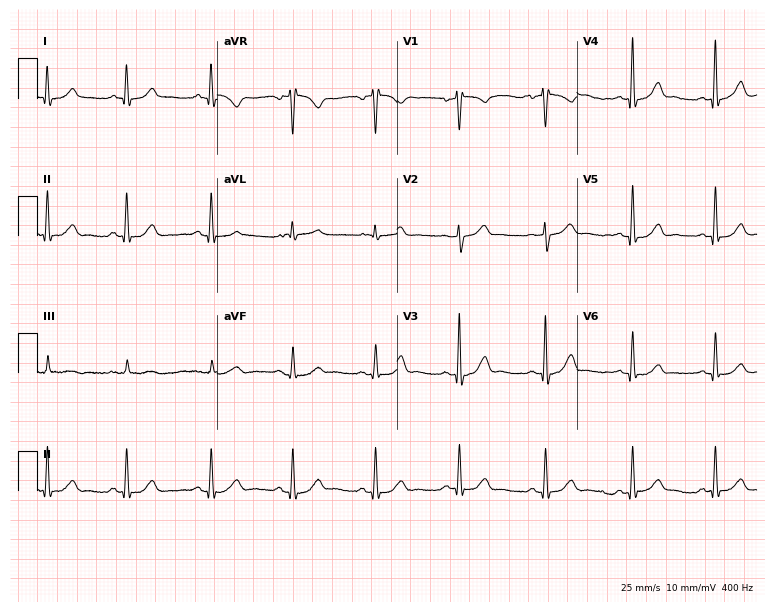
12-lead ECG from a man, 54 years old (7.3-second recording at 400 Hz). No first-degree AV block, right bundle branch block, left bundle branch block, sinus bradycardia, atrial fibrillation or sinus tachycardia recorded for this tracing.